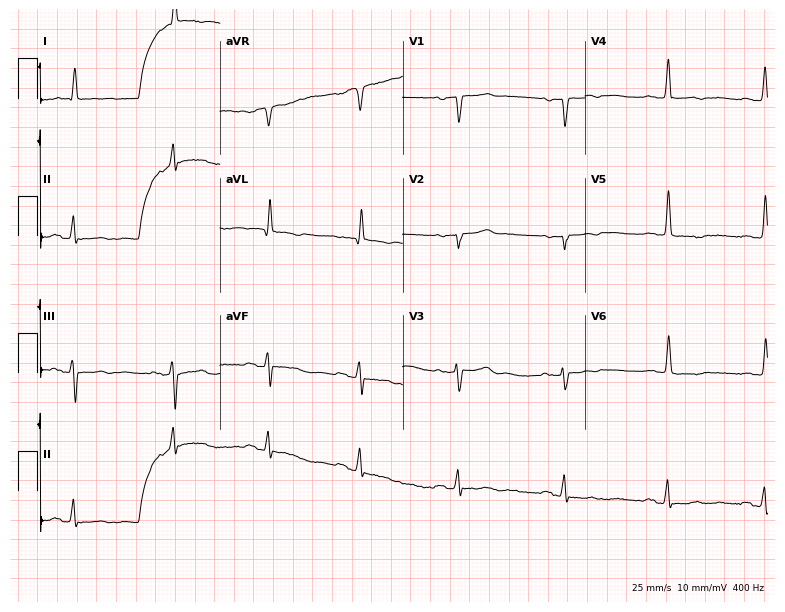
ECG — a woman, 83 years old. Screened for six findings — first-degree AV block, right bundle branch block, left bundle branch block, sinus bradycardia, atrial fibrillation, sinus tachycardia — none is recorded. Only these six findings were labelled.